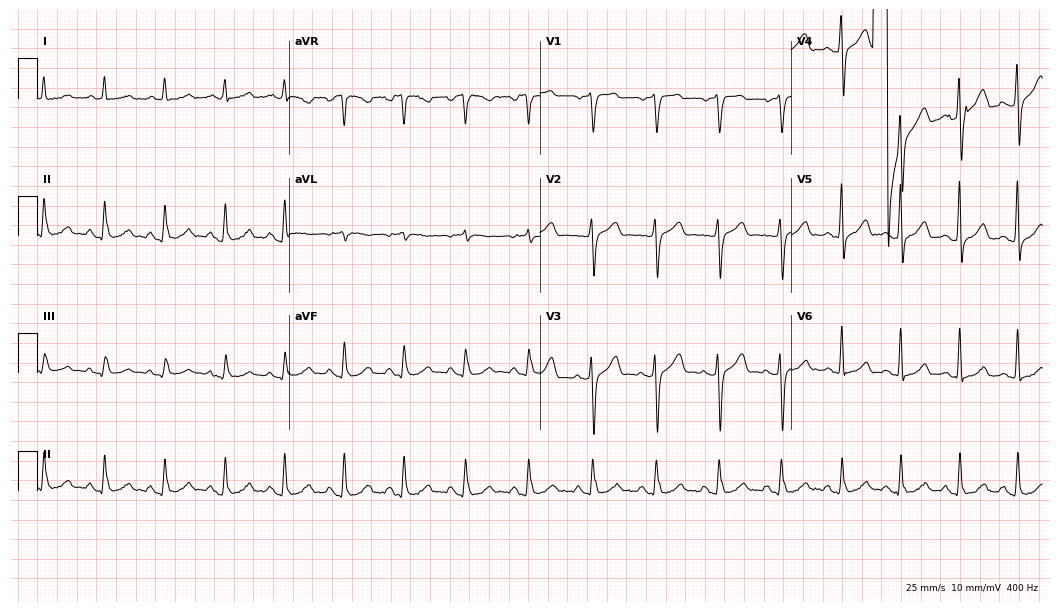
12-lead ECG (10.2-second recording at 400 Hz) from a 55-year-old male patient. Labelled as a normal ECG.